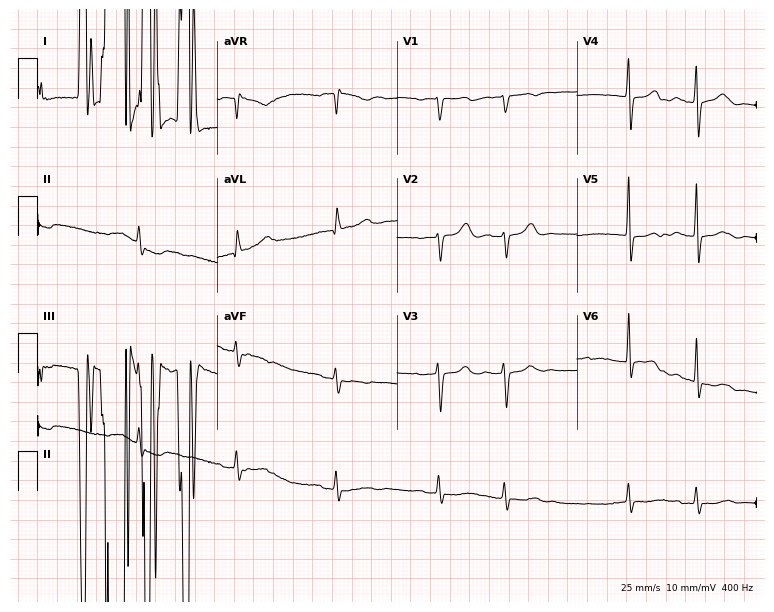
Standard 12-lead ECG recorded from an 81-year-old woman (7.3-second recording at 400 Hz). None of these six findings is recorded: first-degree AV block, right bundle branch block (RBBB), left bundle branch block (LBBB), sinus bradycardia, atrial fibrillation (AF), sinus tachycardia. Other findings, if any, are not listed.